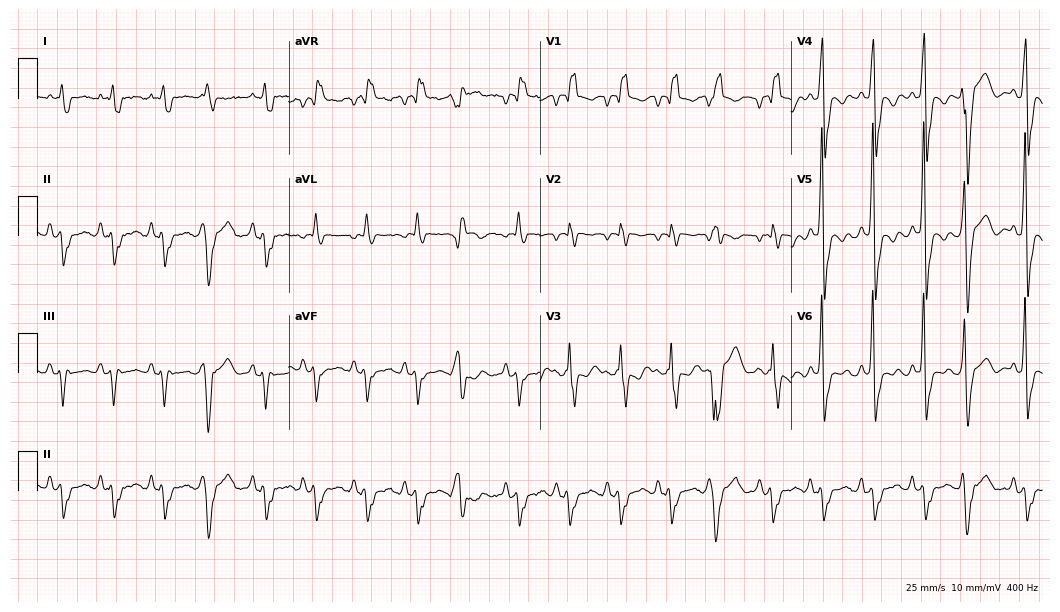
12-lead ECG (10.2-second recording at 400 Hz) from a man, 76 years old. Findings include sinus tachycardia (a sinus rate of 100 beats per minute or more).